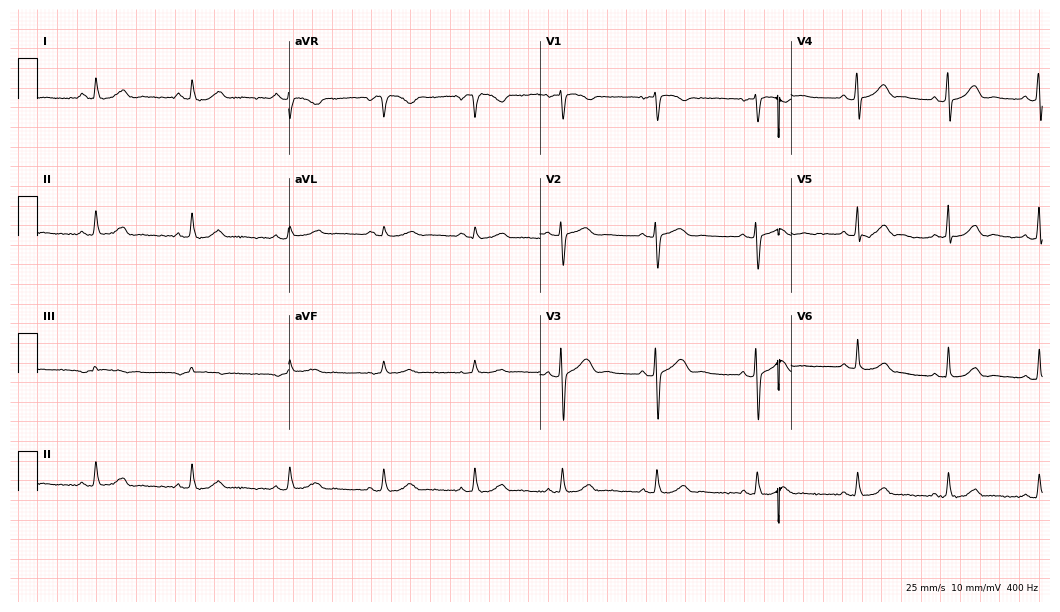
Standard 12-lead ECG recorded from a 33-year-old woman. Read as a normal ECG.